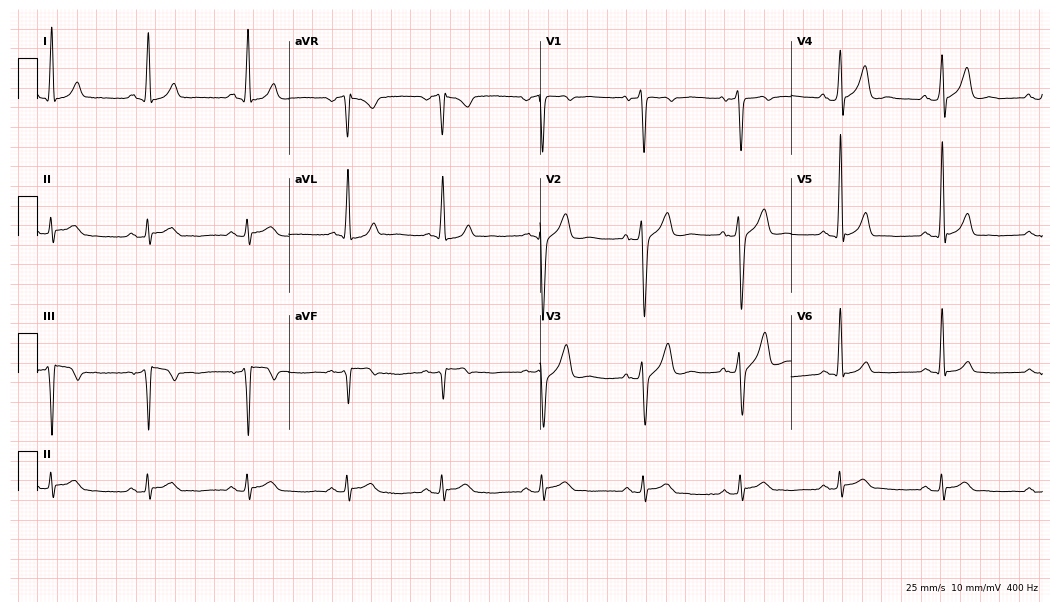
ECG (10.2-second recording at 400 Hz) — a male patient, 59 years old. Screened for six findings — first-degree AV block, right bundle branch block, left bundle branch block, sinus bradycardia, atrial fibrillation, sinus tachycardia — none is recorded. Only these six findings were labelled.